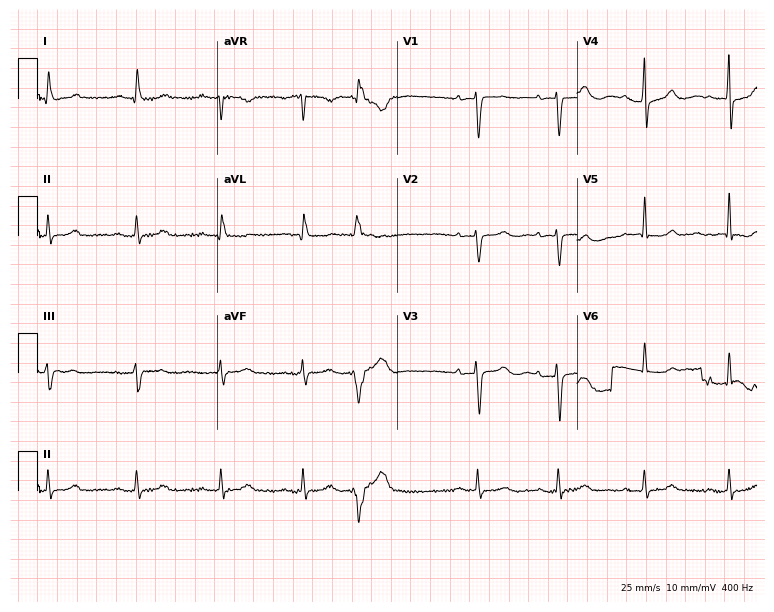
ECG (7.3-second recording at 400 Hz) — an 87-year-old female patient. Findings include first-degree AV block.